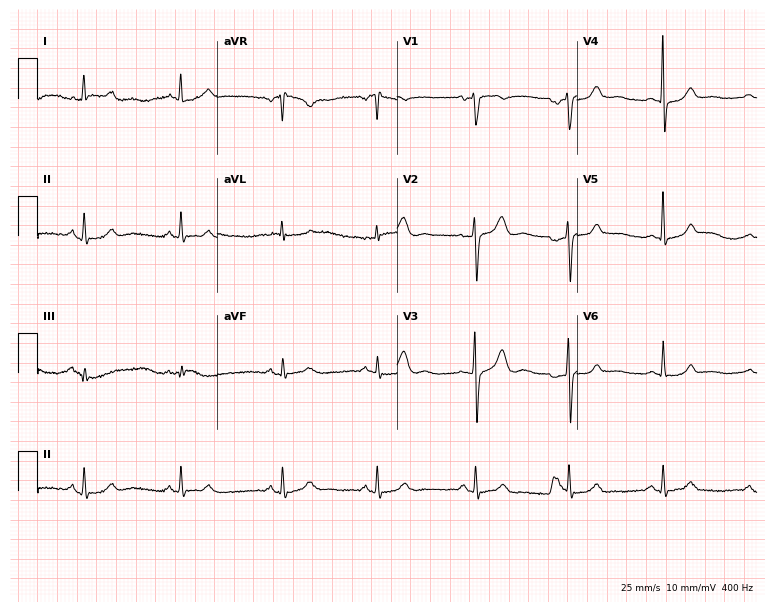
ECG (7.3-second recording at 400 Hz) — a 48-year-old female patient. Labelled as a normal ECG.